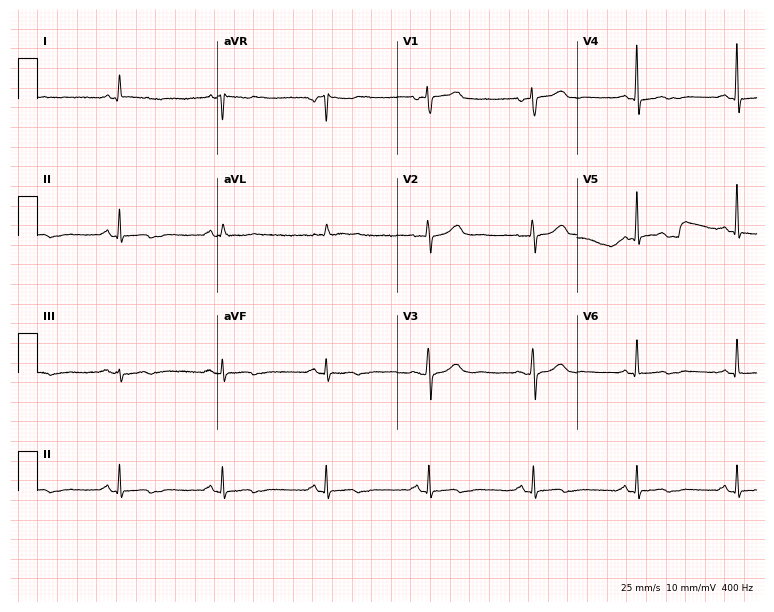
Resting 12-lead electrocardiogram (7.3-second recording at 400 Hz). Patient: a 69-year-old female. None of these six findings is recorded: first-degree AV block, right bundle branch block, left bundle branch block, sinus bradycardia, atrial fibrillation, sinus tachycardia.